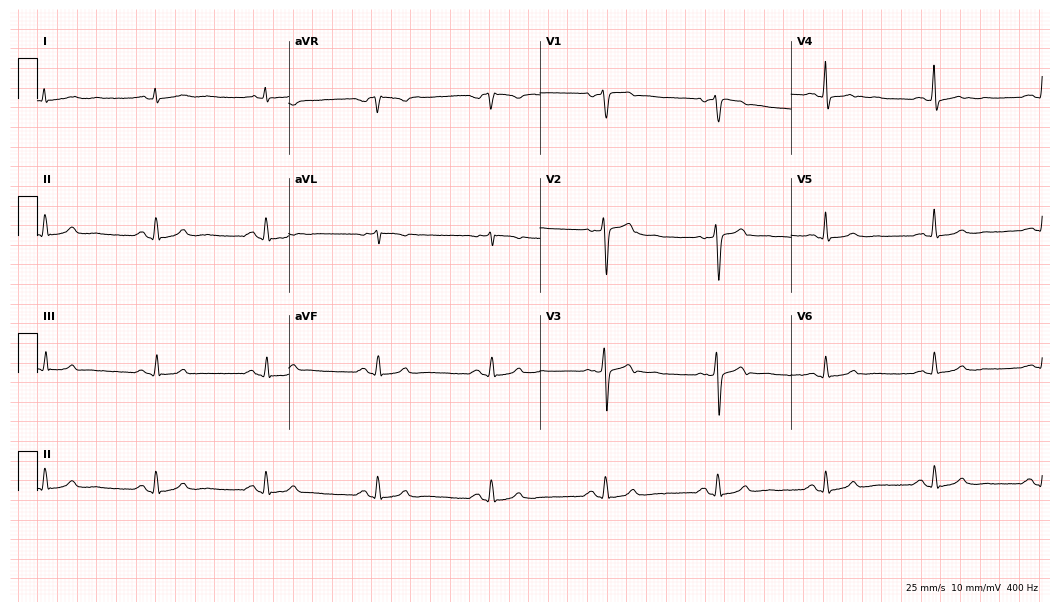
12-lead ECG from a male patient, 59 years old. Labelled as a normal ECG.